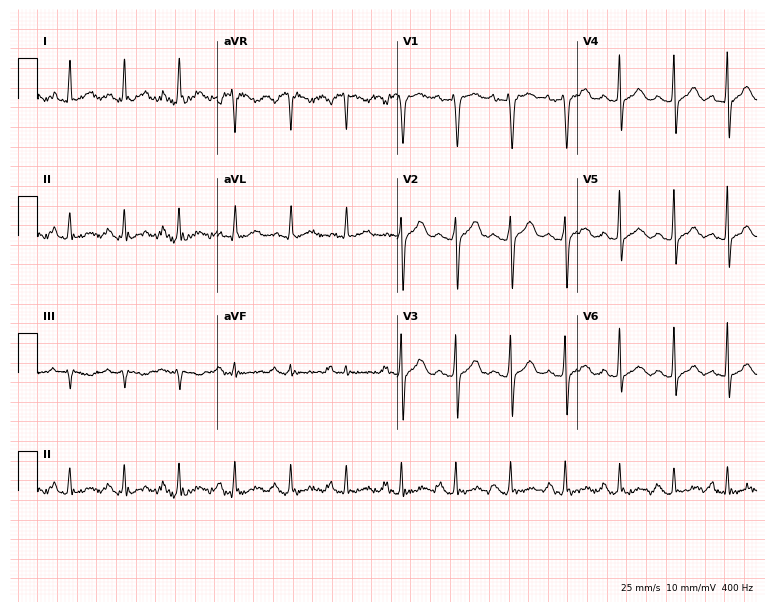
Resting 12-lead electrocardiogram. Patient: a 63-year-old female. The tracing shows sinus tachycardia (a sinus rate of 100 beats per minute or more).